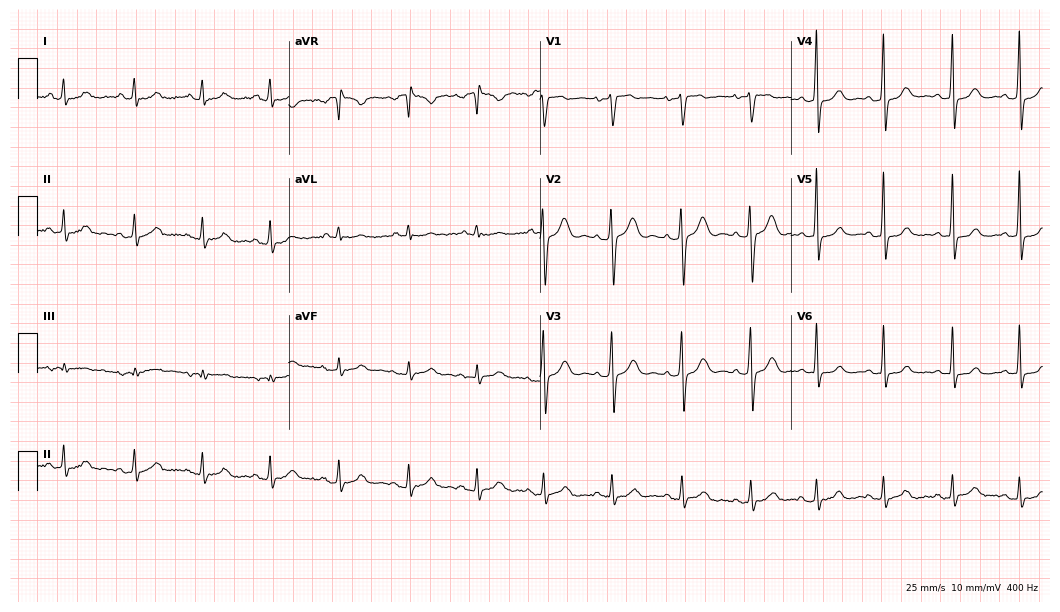
Resting 12-lead electrocardiogram (10.2-second recording at 400 Hz). Patient: a 38-year-old female. None of these six findings is recorded: first-degree AV block, right bundle branch block, left bundle branch block, sinus bradycardia, atrial fibrillation, sinus tachycardia. Findings outside these six are not listed.